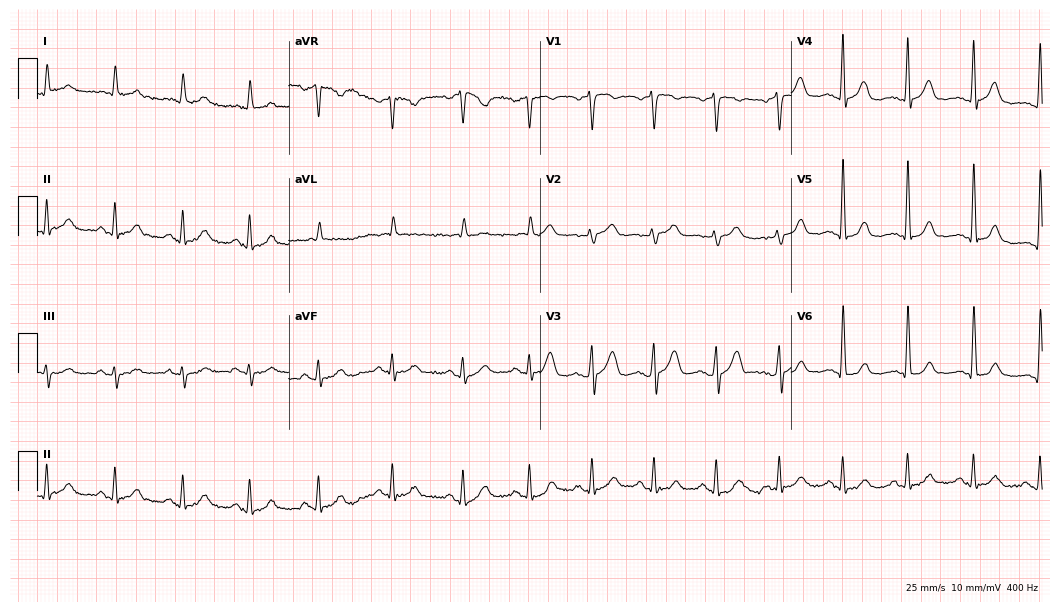
ECG — an 81-year-old male. Labelled as a normal ECG.